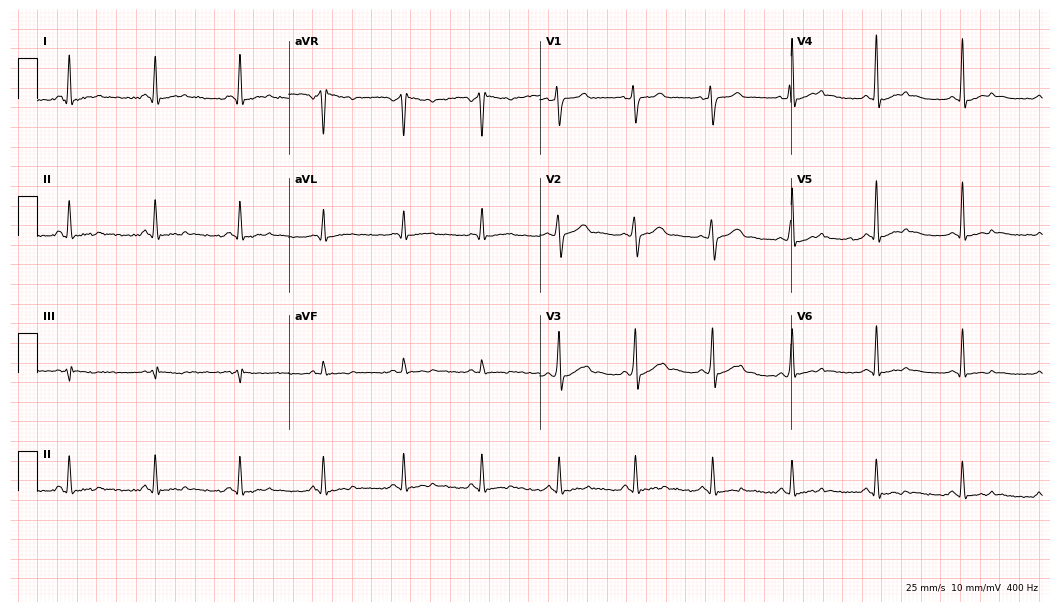
12-lead ECG from a man, 43 years old (10.2-second recording at 400 Hz). Recorded interpretation: within normal limits.